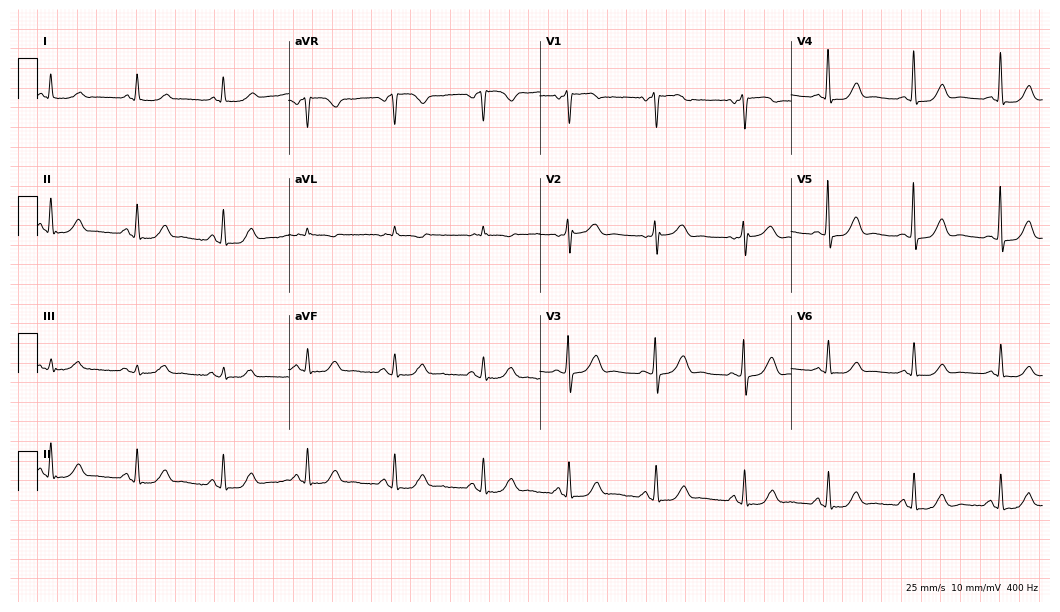
12-lead ECG (10.2-second recording at 400 Hz) from a 69-year-old female. Screened for six findings — first-degree AV block, right bundle branch block (RBBB), left bundle branch block (LBBB), sinus bradycardia, atrial fibrillation (AF), sinus tachycardia — none is recorded. Findings outside these six are not listed.